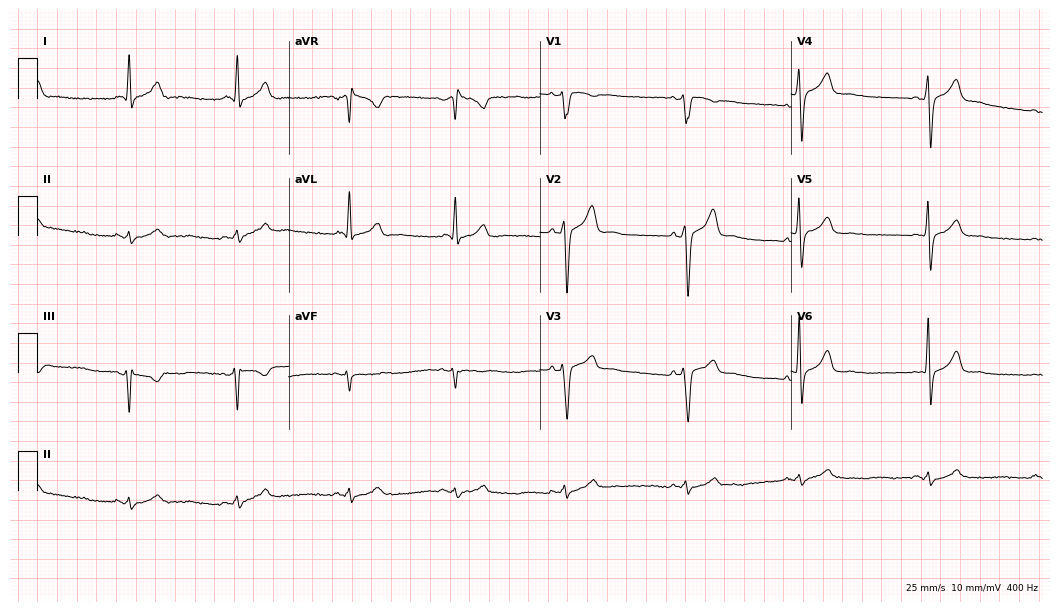
12-lead ECG from a 47-year-old man. No first-degree AV block, right bundle branch block, left bundle branch block, sinus bradycardia, atrial fibrillation or sinus tachycardia recorded for this tracing. Findings outside these six are not listed.